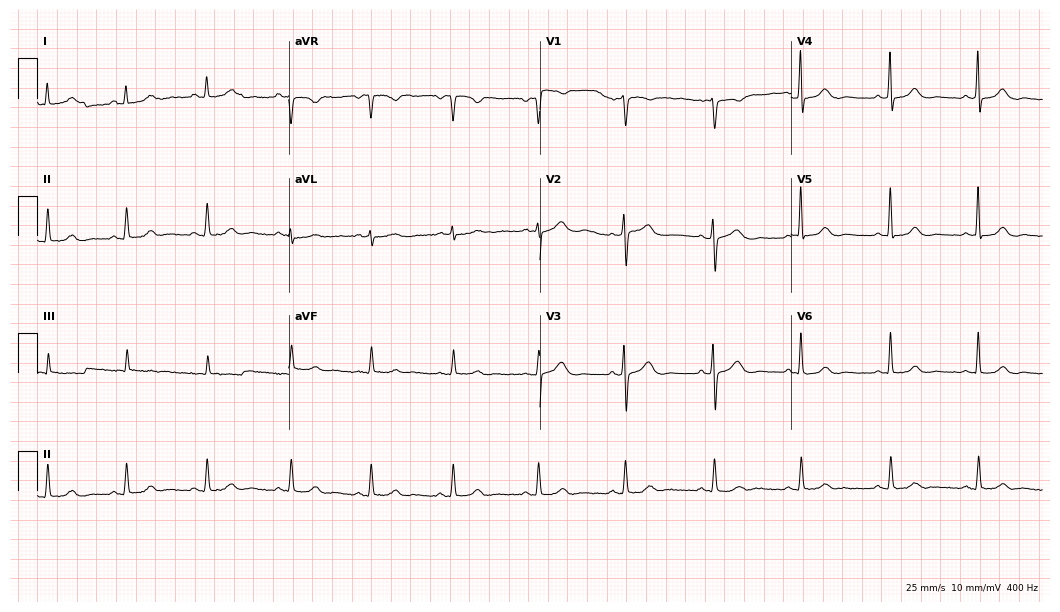
12-lead ECG from a female patient, 51 years old. Labelled as a normal ECG.